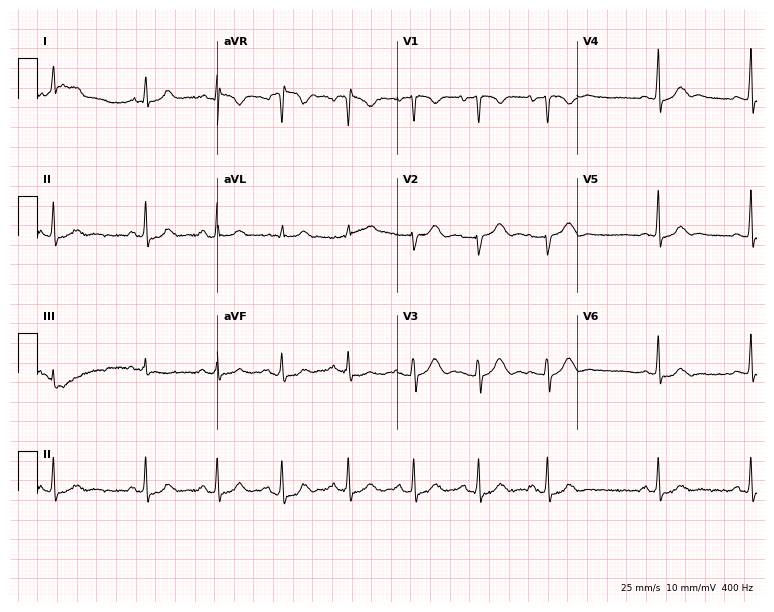
12-lead ECG from a female, 24 years old. Recorded interpretation: within normal limits.